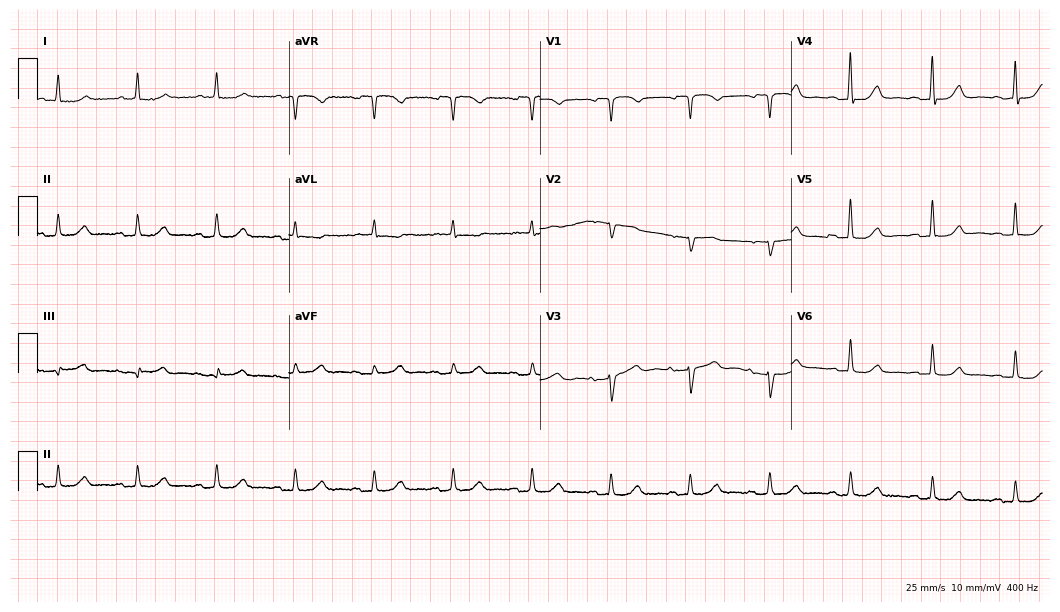
Resting 12-lead electrocardiogram. Patient: a female, 79 years old. None of these six findings is recorded: first-degree AV block, right bundle branch block, left bundle branch block, sinus bradycardia, atrial fibrillation, sinus tachycardia.